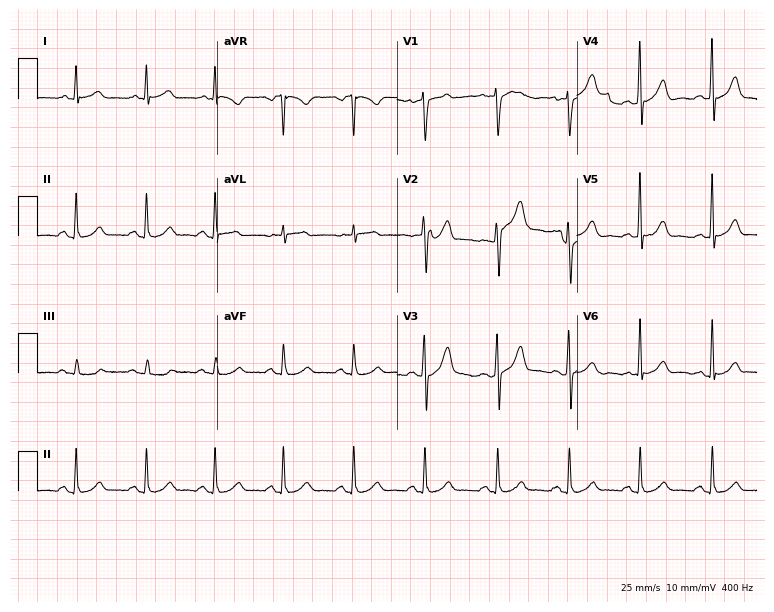
12-lead ECG (7.3-second recording at 400 Hz) from a 64-year-old male. Screened for six findings — first-degree AV block, right bundle branch block, left bundle branch block, sinus bradycardia, atrial fibrillation, sinus tachycardia — none is recorded. Findings outside these six are not listed.